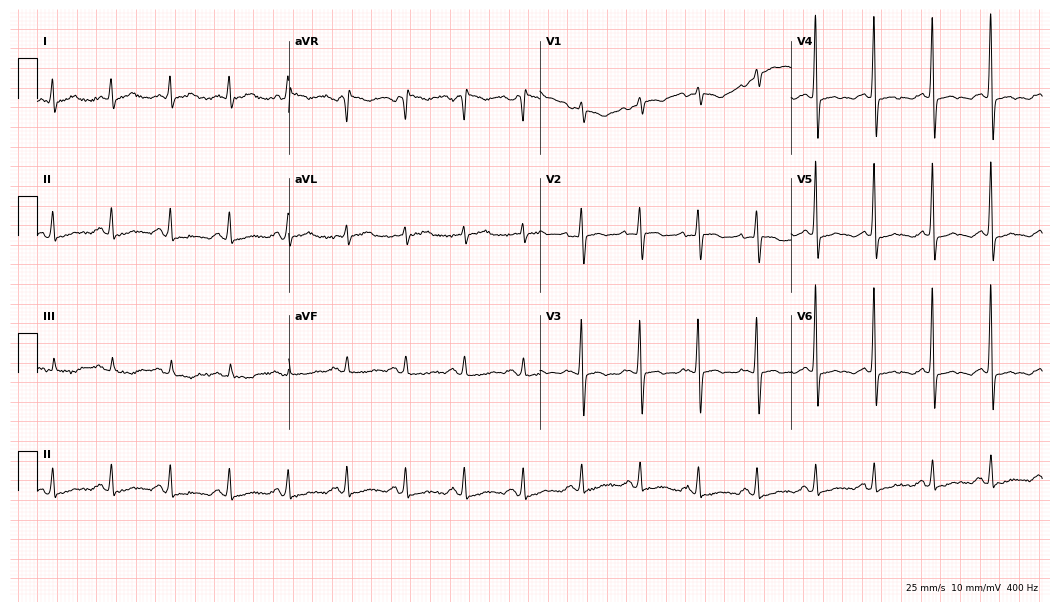
ECG (10.2-second recording at 400 Hz) — a 66-year-old female. Findings include sinus tachycardia (a sinus rate of 100 beats per minute or more).